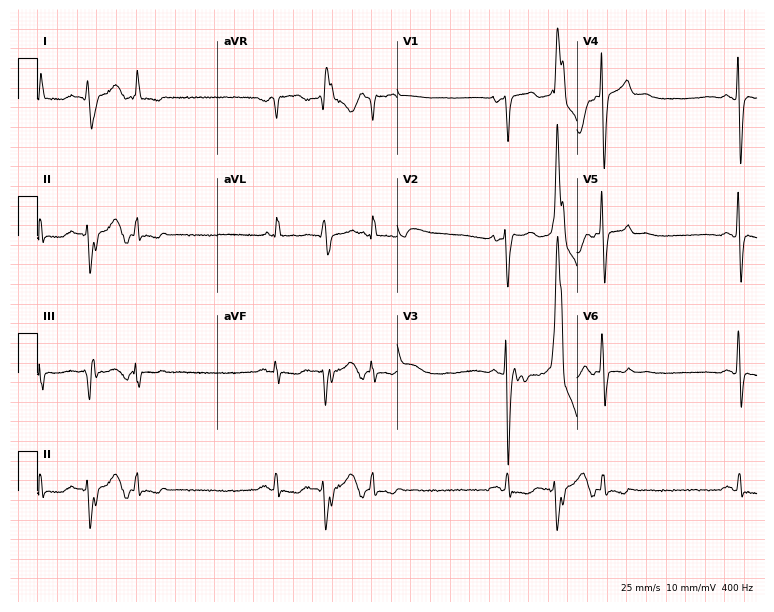
12-lead ECG (7.3-second recording at 400 Hz) from a 61-year-old woman. Screened for six findings — first-degree AV block, right bundle branch block (RBBB), left bundle branch block (LBBB), sinus bradycardia, atrial fibrillation (AF), sinus tachycardia — none is recorded.